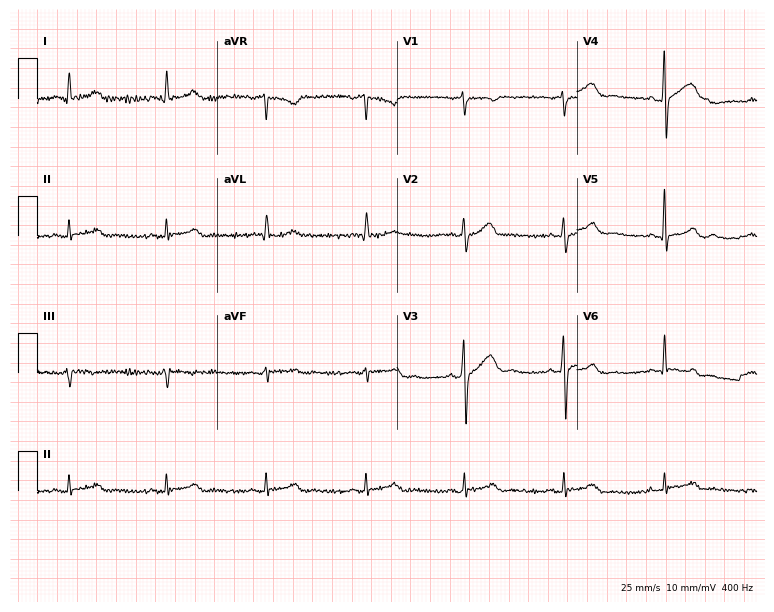
12-lead ECG from a 53-year-old male patient (7.3-second recording at 400 Hz). Recorded interpretation: within normal limits.